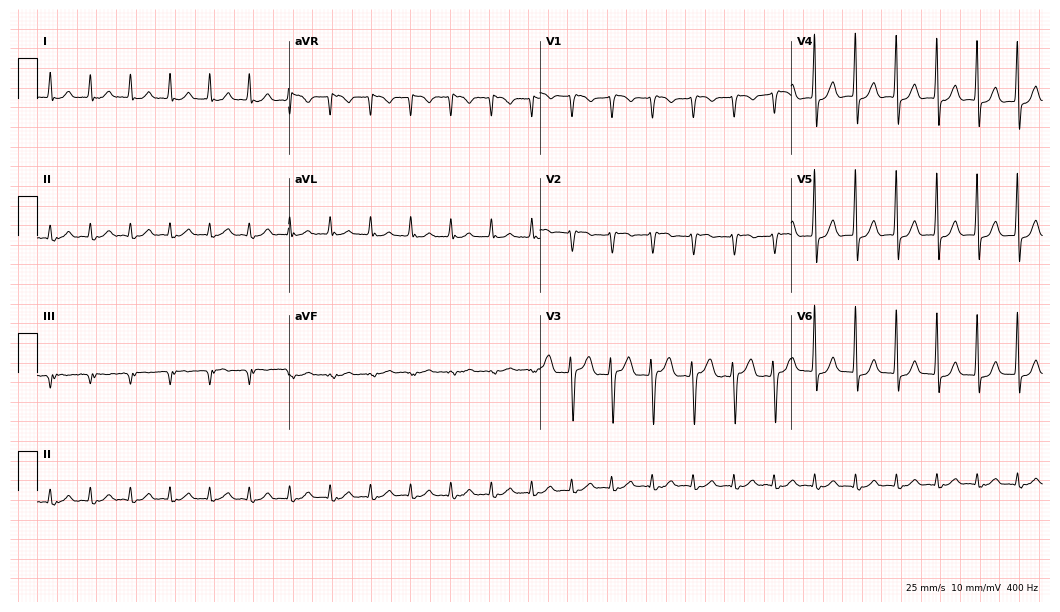
Electrocardiogram, a male patient, 75 years old. Of the six screened findings (first-degree AV block, right bundle branch block, left bundle branch block, sinus bradycardia, atrial fibrillation, sinus tachycardia), none is recorded. Findings outside these six are not listed.